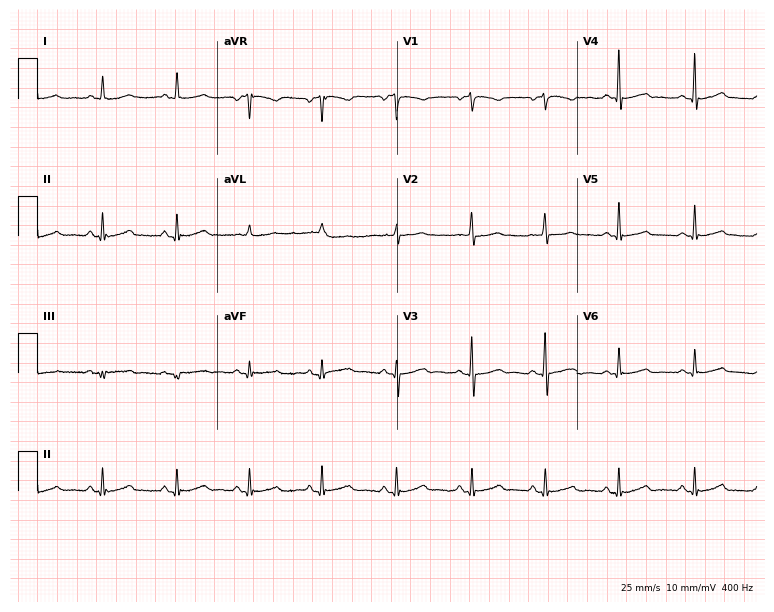
12-lead ECG from a woman, 62 years old (7.3-second recording at 400 Hz). Recorded interpretation: within normal limits.